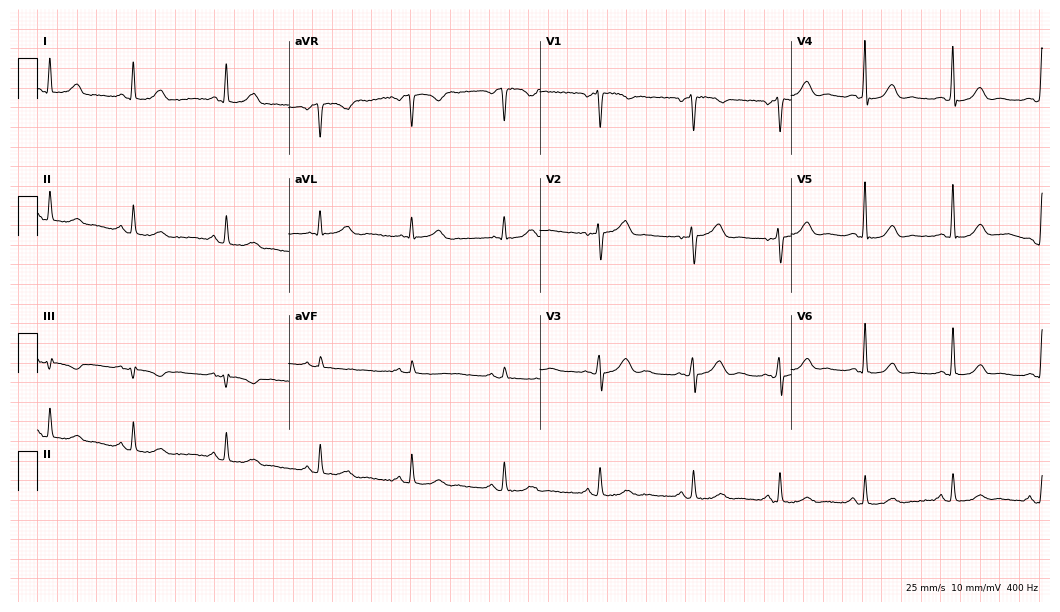
12-lead ECG from a female, 49 years old (10.2-second recording at 400 Hz). Recorded interpretation: within normal limits.